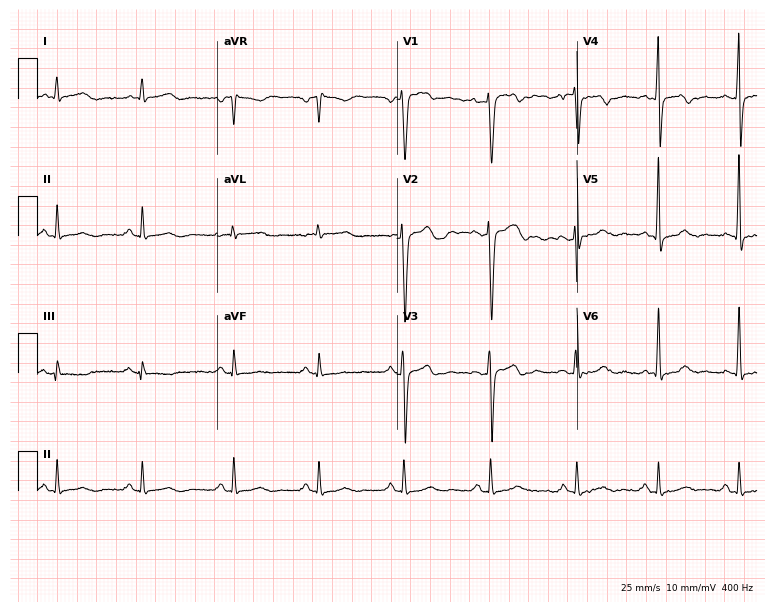
Resting 12-lead electrocardiogram. Patient: a 32-year-old male. None of these six findings is recorded: first-degree AV block, right bundle branch block, left bundle branch block, sinus bradycardia, atrial fibrillation, sinus tachycardia. Only these six findings were labelled.